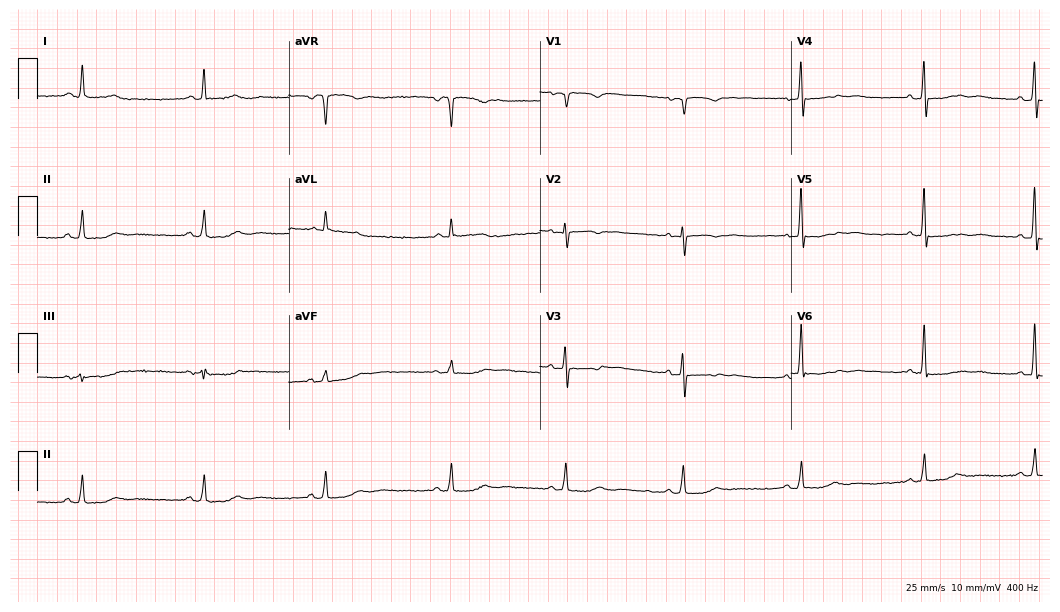
12-lead ECG (10.2-second recording at 400 Hz) from a female, 79 years old. Findings include sinus bradycardia (a sinus rate of 50 beats per minute or less).